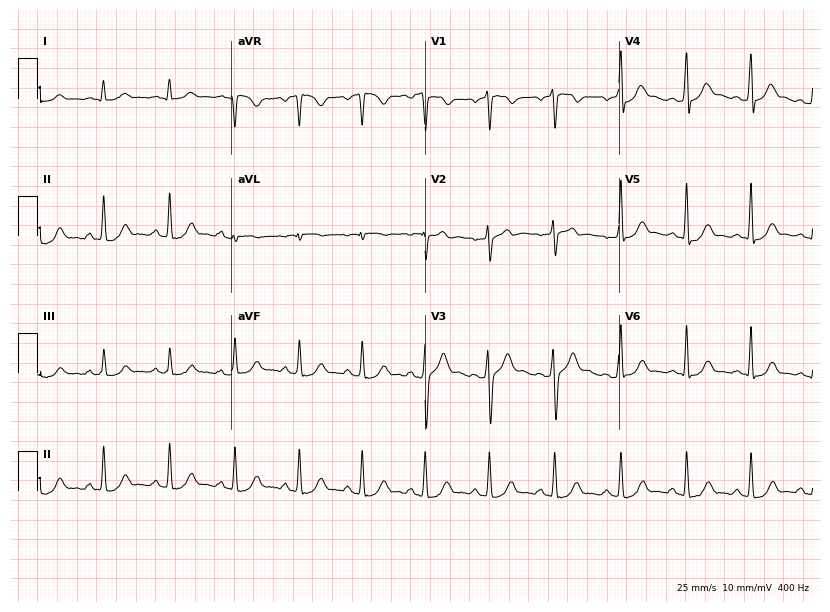
12-lead ECG (7.9-second recording at 400 Hz) from a male patient, 47 years old. Labelled as a normal ECG.